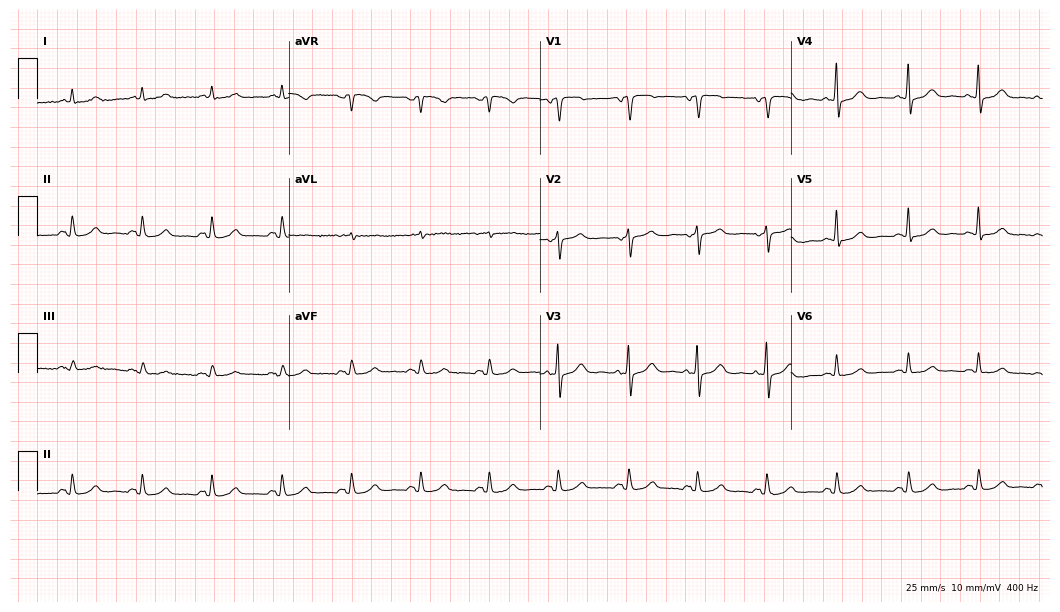
12-lead ECG from a woman, 68 years old. Recorded interpretation: within normal limits.